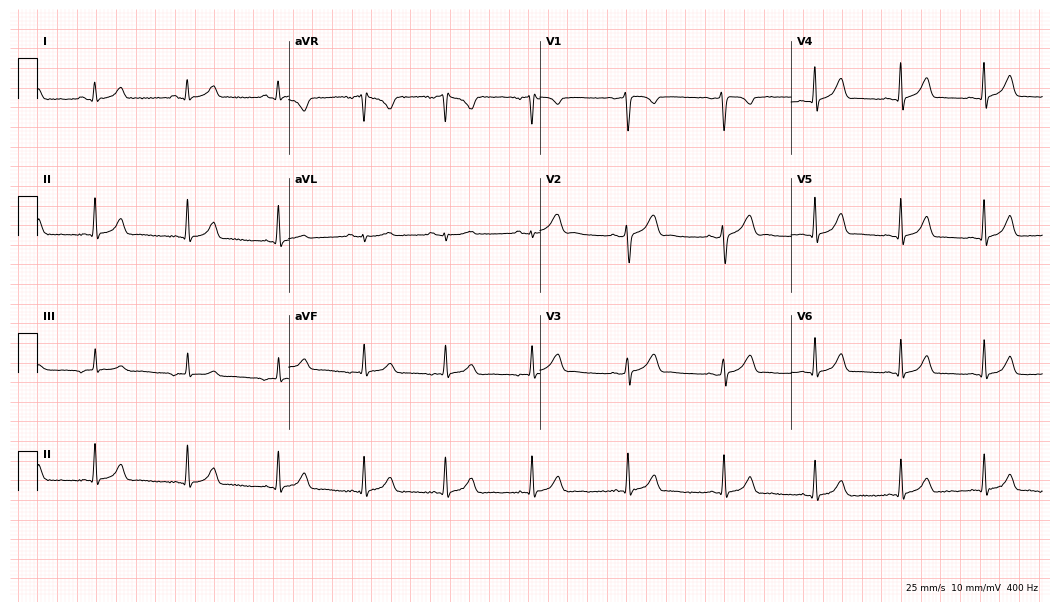
Standard 12-lead ECG recorded from a woman, 25 years old (10.2-second recording at 400 Hz). None of these six findings is recorded: first-degree AV block, right bundle branch block, left bundle branch block, sinus bradycardia, atrial fibrillation, sinus tachycardia. Other findings, if any, are not listed.